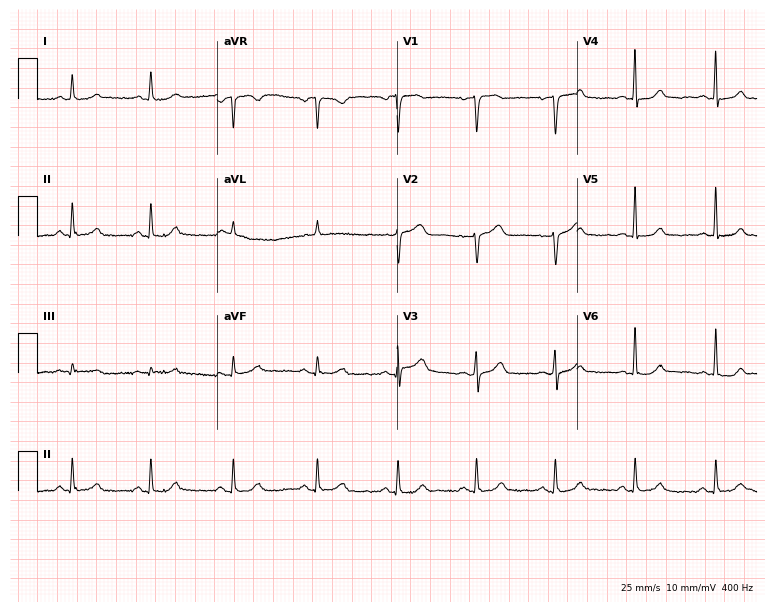
Electrocardiogram (7.3-second recording at 400 Hz), a 48-year-old female. Of the six screened findings (first-degree AV block, right bundle branch block, left bundle branch block, sinus bradycardia, atrial fibrillation, sinus tachycardia), none is recorded.